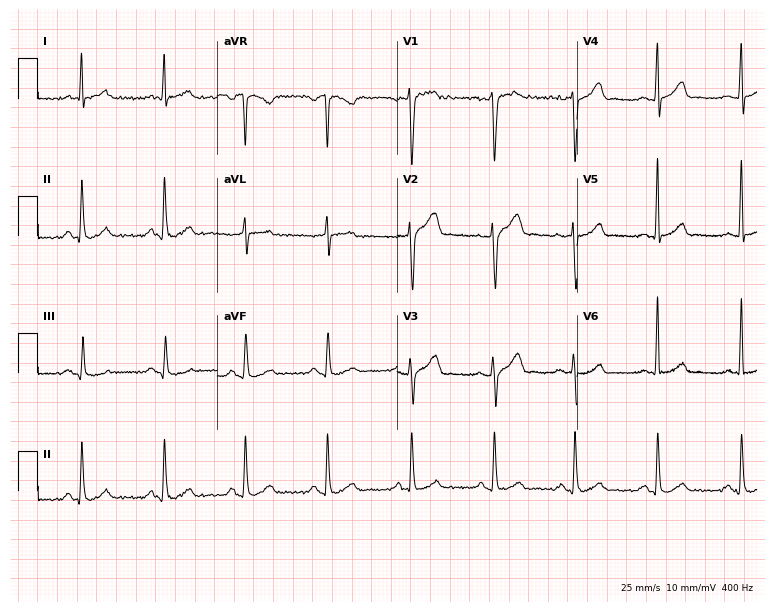
Standard 12-lead ECG recorded from a 43-year-old man. None of these six findings is recorded: first-degree AV block, right bundle branch block, left bundle branch block, sinus bradycardia, atrial fibrillation, sinus tachycardia.